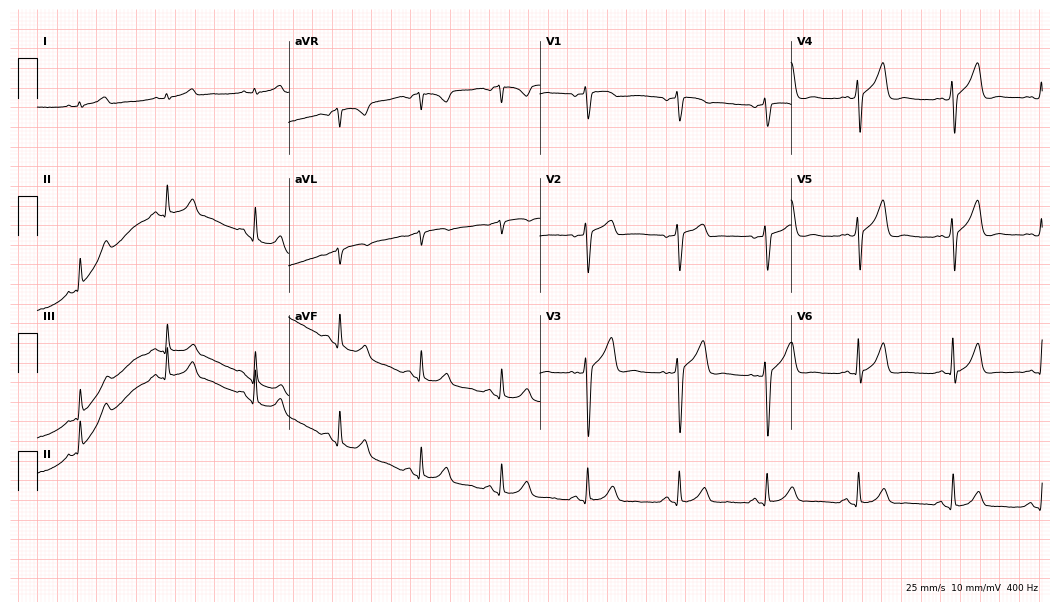
Resting 12-lead electrocardiogram. Patient: a 57-year-old man. Read as a normal ECG.